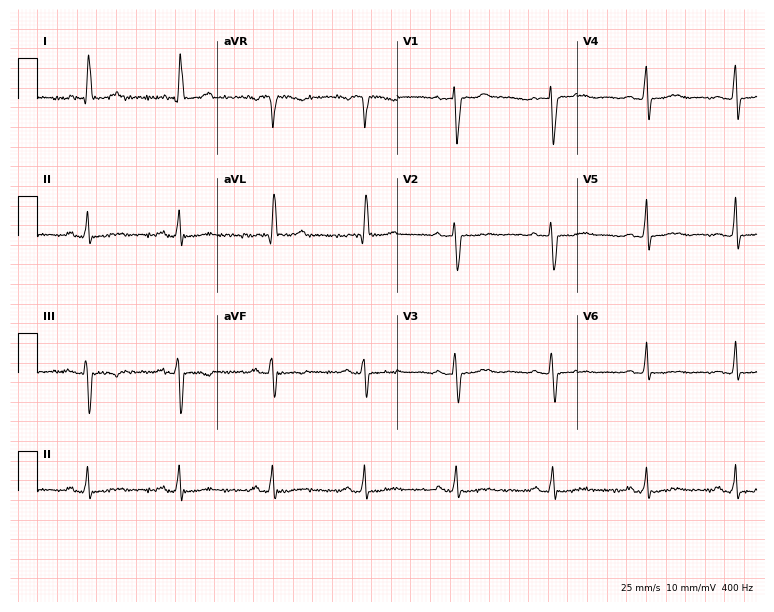
12-lead ECG from a 60-year-old woman. No first-degree AV block, right bundle branch block, left bundle branch block, sinus bradycardia, atrial fibrillation or sinus tachycardia recorded for this tracing. Findings outside these six are not listed.